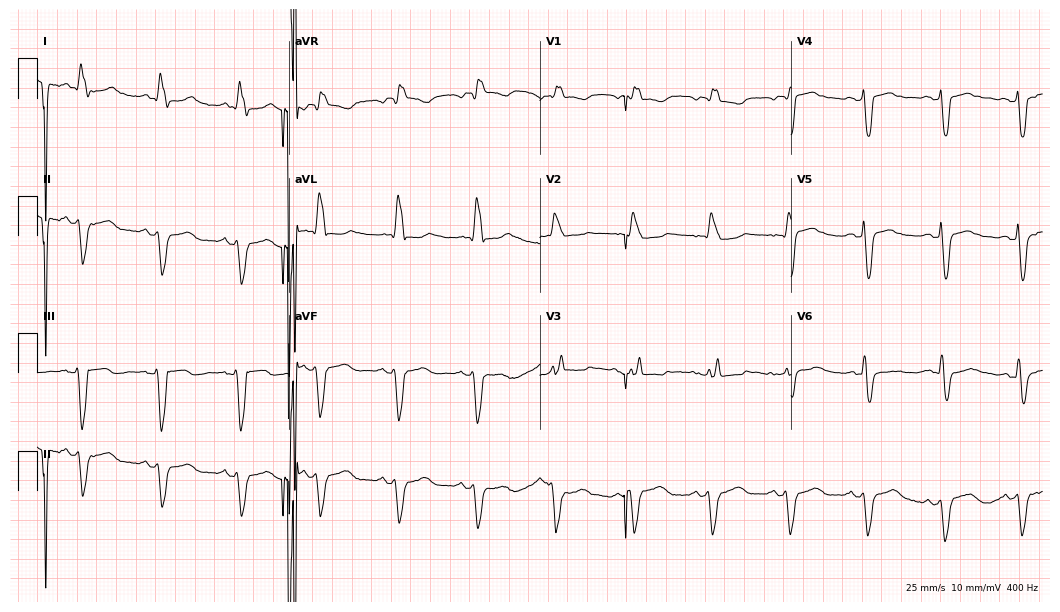
ECG — a 69-year-old woman. Screened for six findings — first-degree AV block, right bundle branch block (RBBB), left bundle branch block (LBBB), sinus bradycardia, atrial fibrillation (AF), sinus tachycardia — none is recorded. Other findings, if any, are not listed.